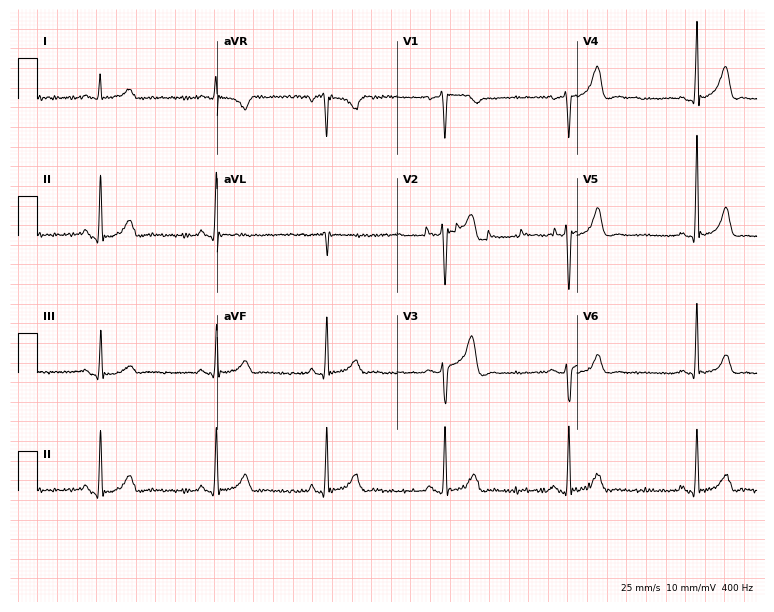
ECG (7.3-second recording at 400 Hz) — a 38-year-old man. Labelled as a normal ECG.